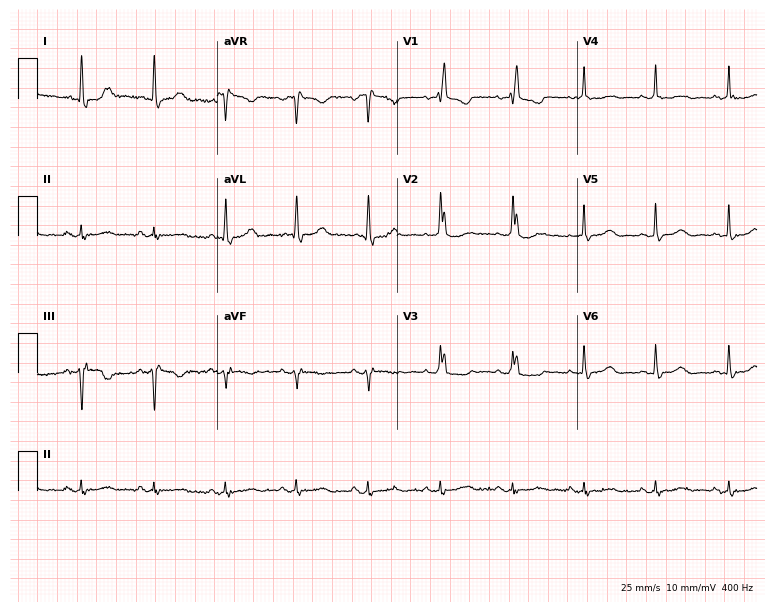
12-lead ECG from an 82-year-old woman. No first-degree AV block, right bundle branch block (RBBB), left bundle branch block (LBBB), sinus bradycardia, atrial fibrillation (AF) or sinus tachycardia recorded for this tracing. Other findings, if any, are not listed.